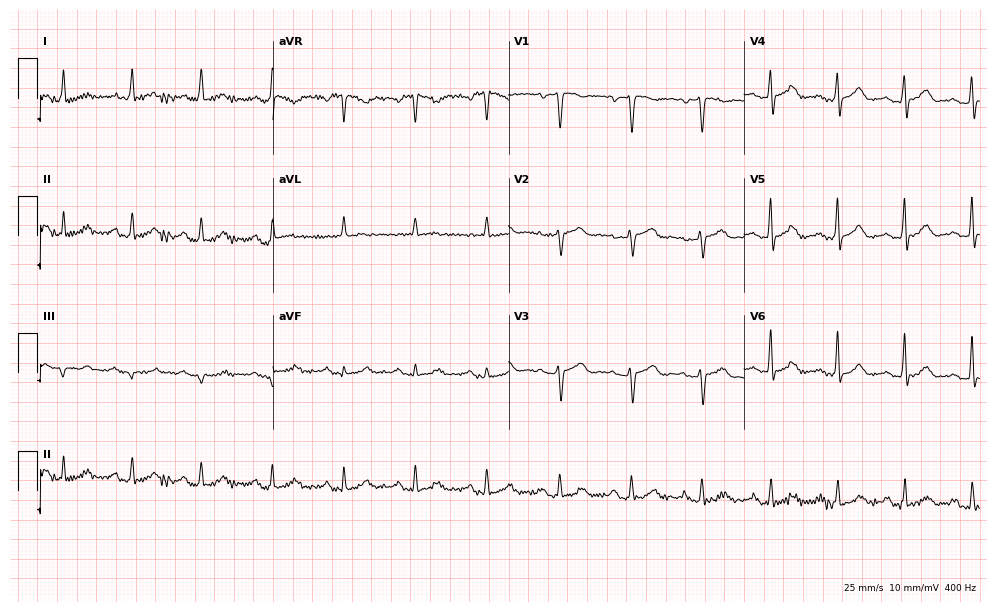
12-lead ECG from a female, 56 years old (9.6-second recording at 400 Hz). Recorded interpretation: within normal limits.